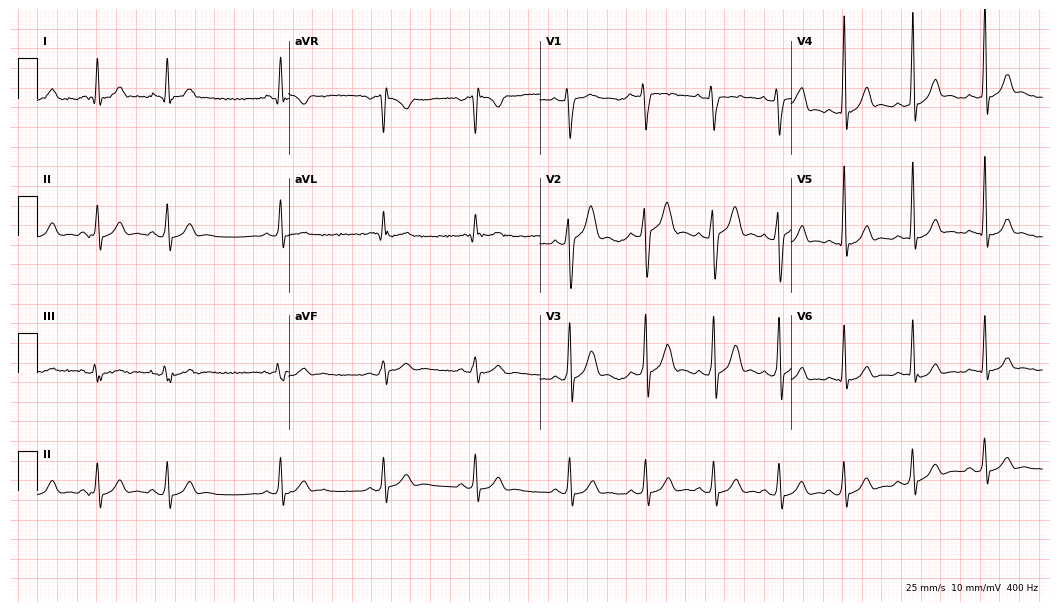
Standard 12-lead ECG recorded from a 20-year-old male patient (10.2-second recording at 400 Hz). None of these six findings is recorded: first-degree AV block, right bundle branch block, left bundle branch block, sinus bradycardia, atrial fibrillation, sinus tachycardia. Findings outside these six are not listed.